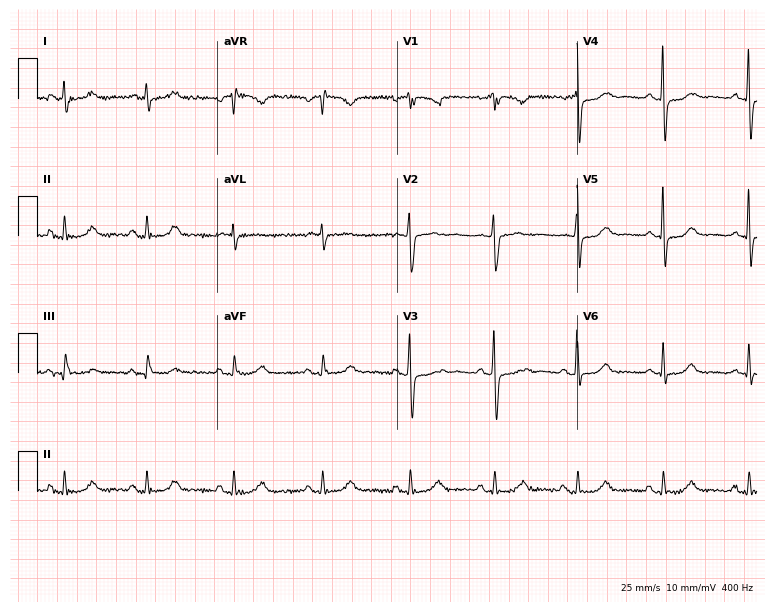
ECG — a 55-year-old female patient. Screened for six findings — first-degree AV block, right bundle branch block, left bundle branch block, sinus bradycardia, atrial fibrillation, sinus tachycardia — none is recorded. Findings outside these six are not listed.